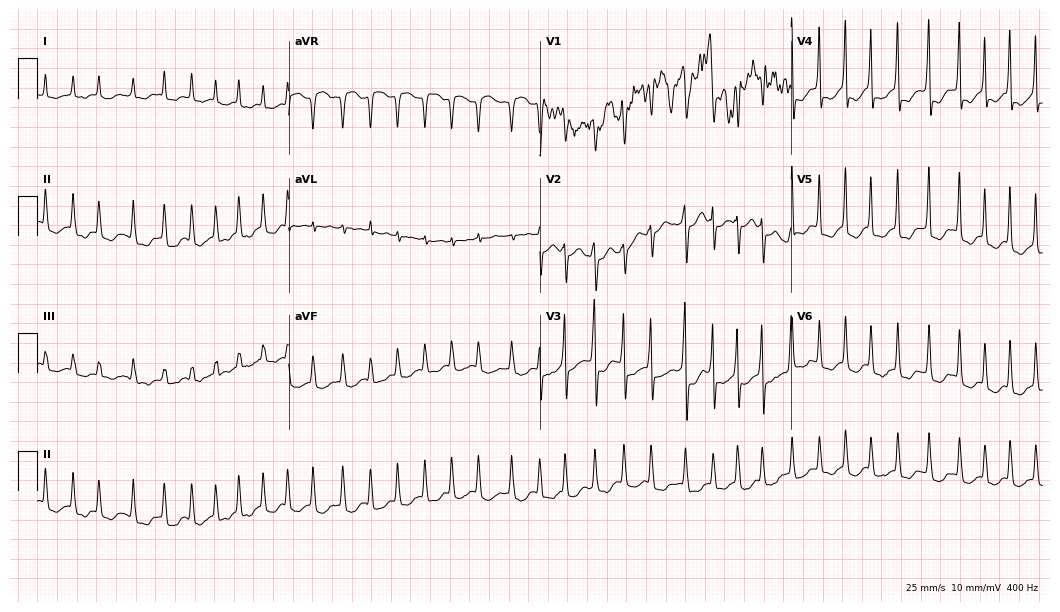
12-lead ECG from a 67-year-old man. Shows atrial fibrillation.